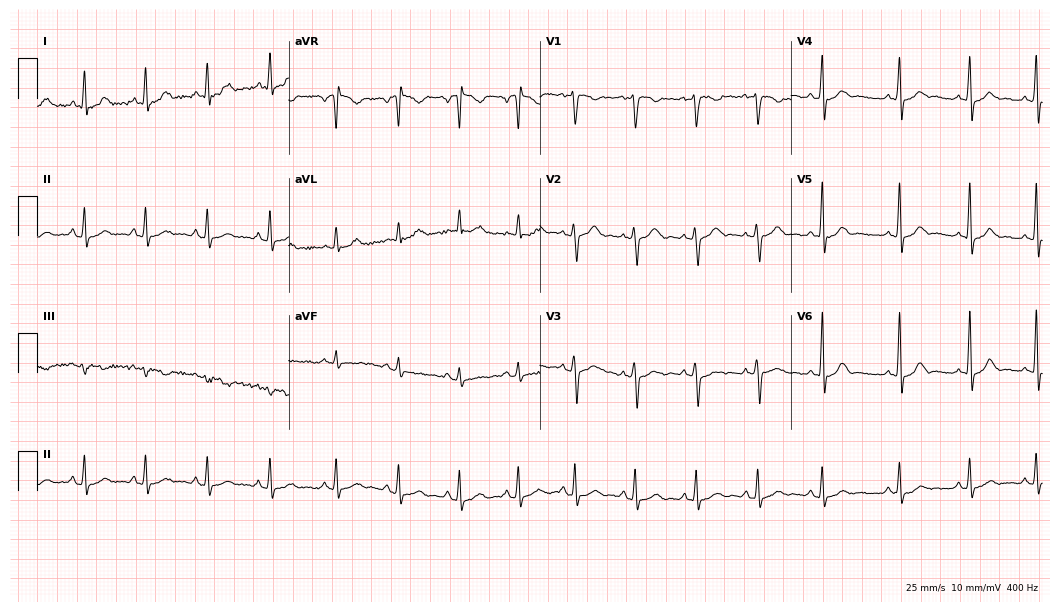
Resting 12-lead electrocardiogram (10.2-second recording at 400 Hz). Patient: a 26-year-old woman. Read as a normal ECG.